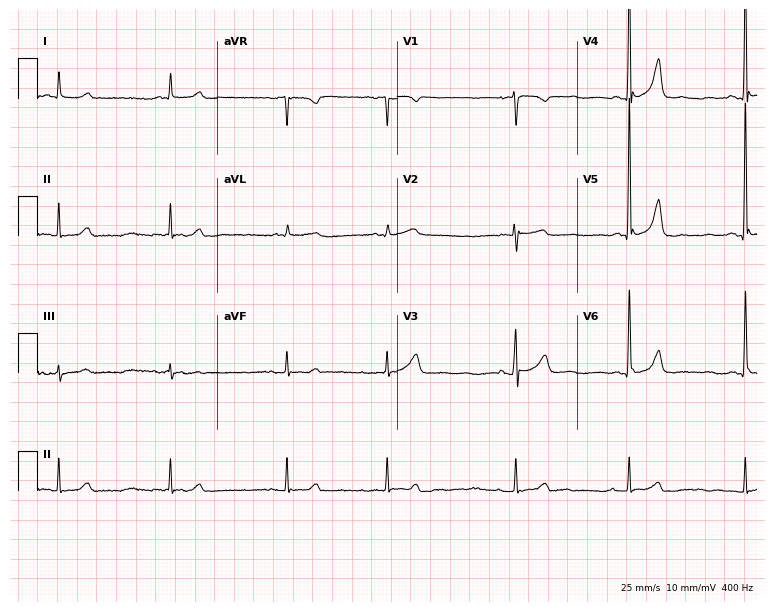
Electrocardiogram, an 83-year-old male. Of the six screened findings (first-degree AV block, right bundle branch block, left bundle branch block, sinus bradycardia, atrial fibrillation, sinus tachycardia), none is recorded. Only these six findings were labelled.